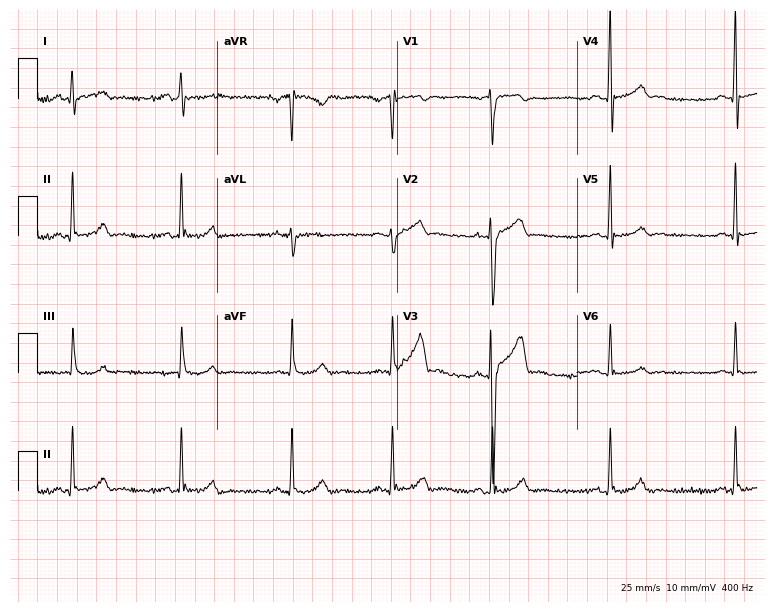
12-lead ECG from a 29-year-old man (7.3-second recording at 400 Hz). Recorded interpretation: within normal limits.